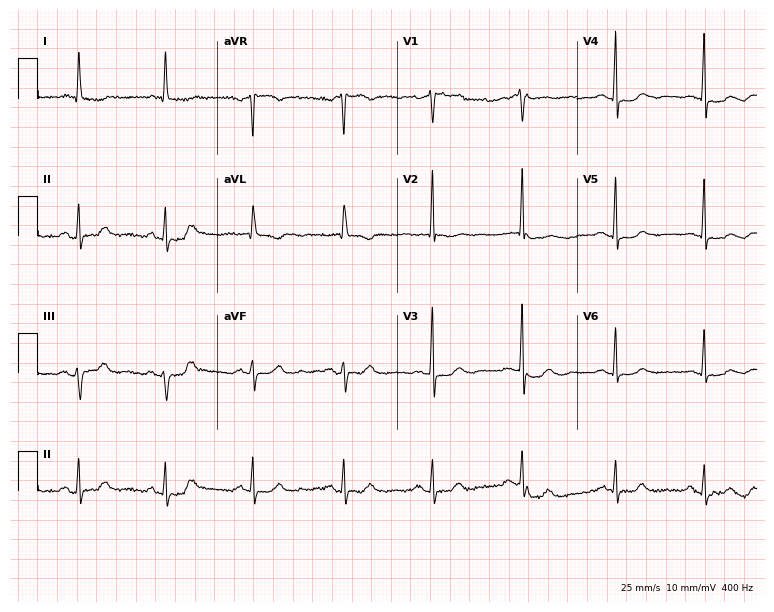
Resting 12-lead electrocardiogram. Patient: a woman, 84 years old. None of these six findings is recorded: first-degree AV block, right bundle branch block, left bundle branch block, sinus bradycardia, atrial fibrillation, sinus tachycardia. Only these six findings were labelled.